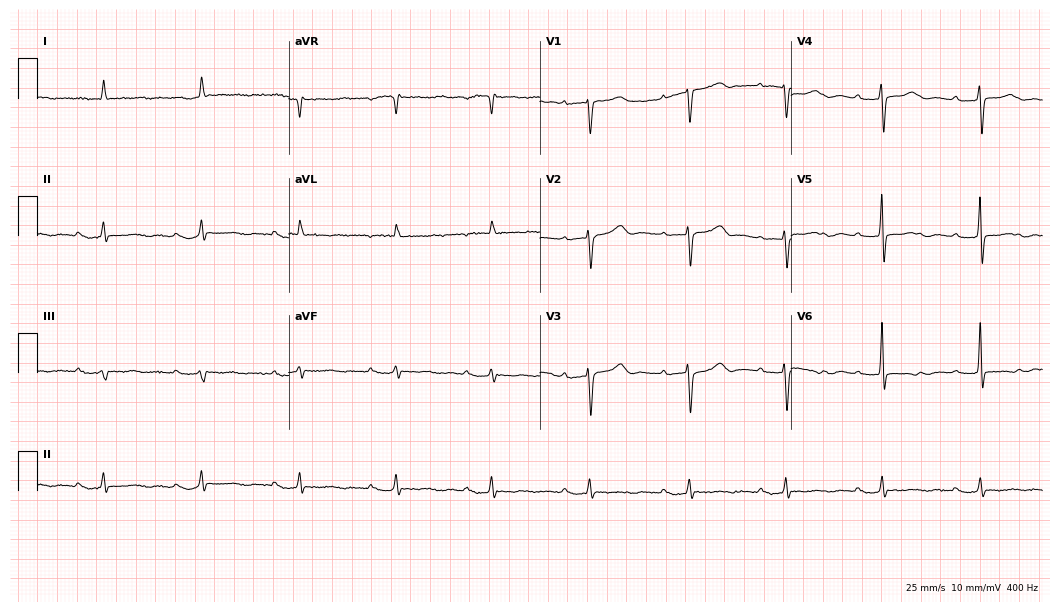
Standard 12-lead ECG recorded from an 84-year-old woman. The tracing shows first-degree AV block.